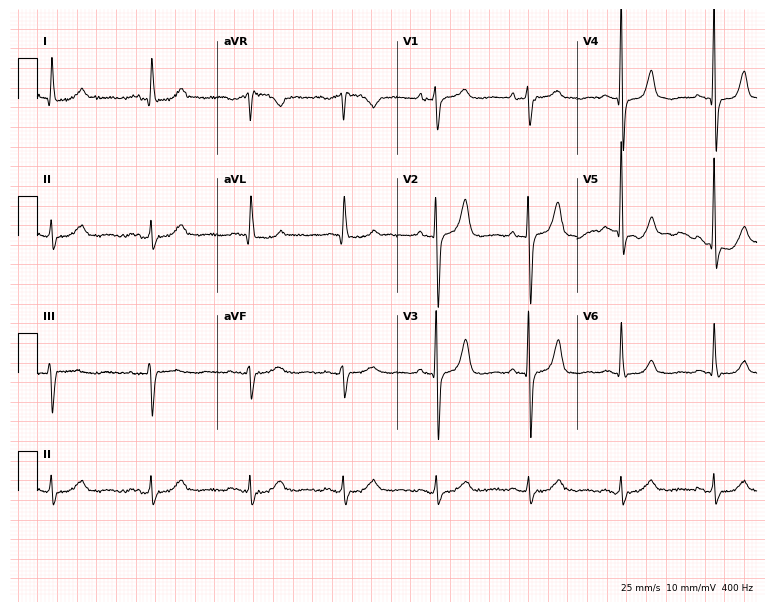
Resting 12-lead electrocardiogram (7.3-second recording at 400 Hz). Patient: a man, 79 years old. None of these six findings is recorded: first-degree AV block, right bundle branch block, left bundle branch block, sinus bradycardia, atrial fibrillation, sinus tachycardia. Only these six findings were labelled.